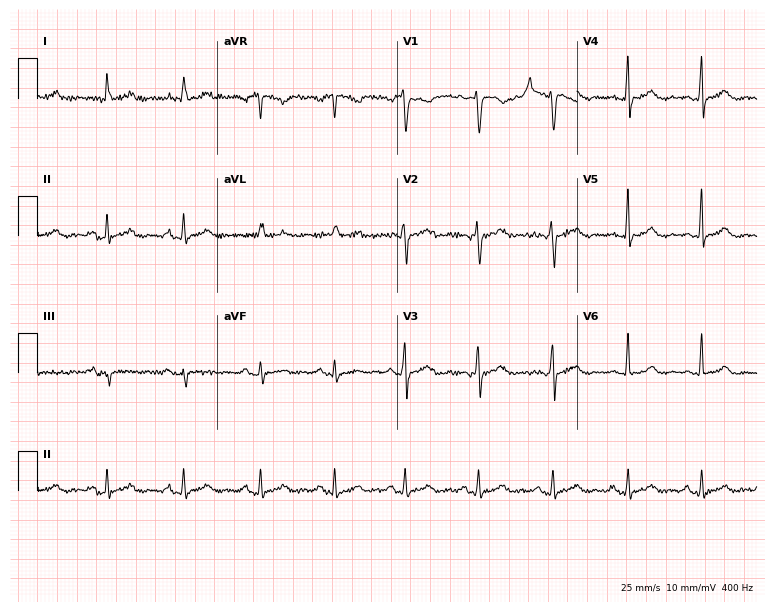
Electrocardiogram, a 43-year-old female patient. Overall reading on record: normal ECG.